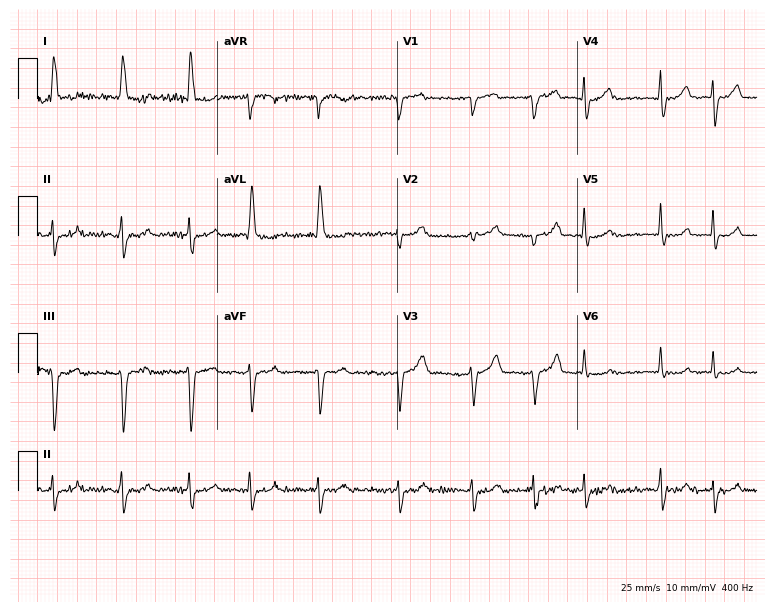
12-lead ECG (7.3-second recording at 400 Hz) from a female patient, 83 years old. Findings include atrial fibrillation.